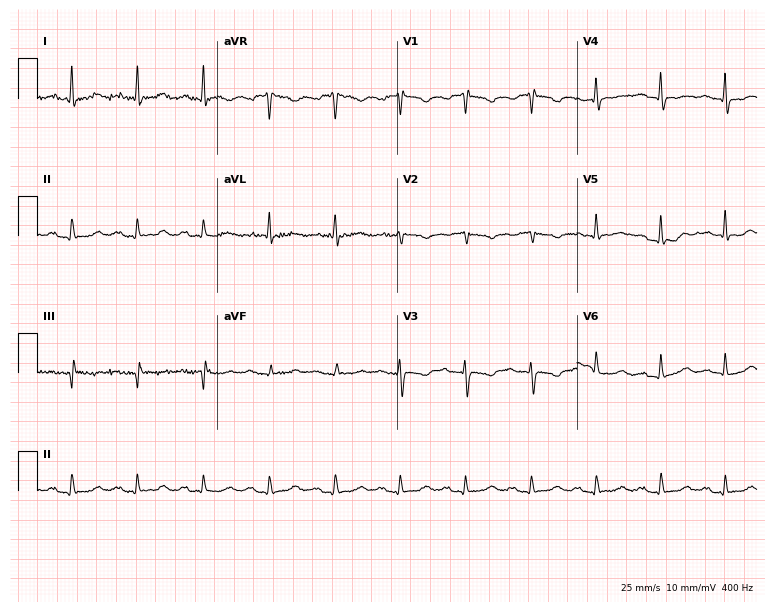
Resting 12-lead electrocardiogram (7.3-second recording at 400 Hz). Patient: a woman, 85 years old. Read as a normal ECG.